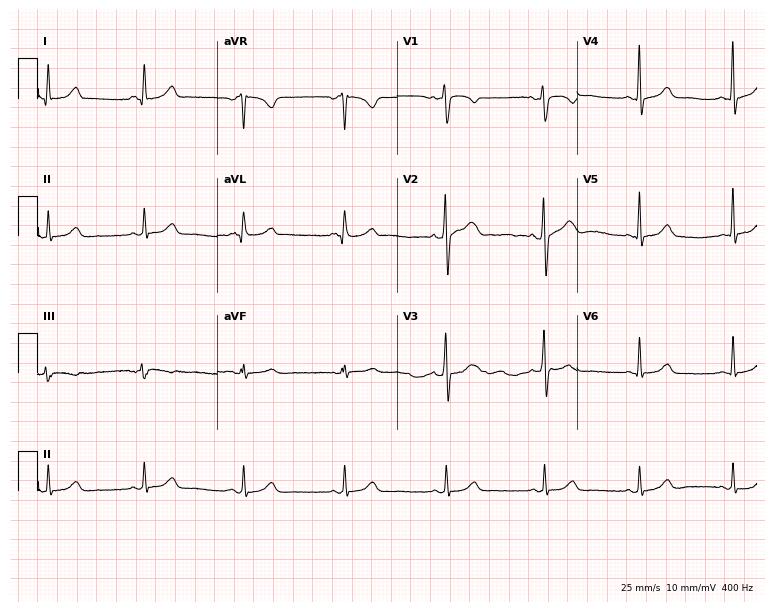
12-lead ECG from a female, 37 years old. Recorded interpretation: within normal limits.